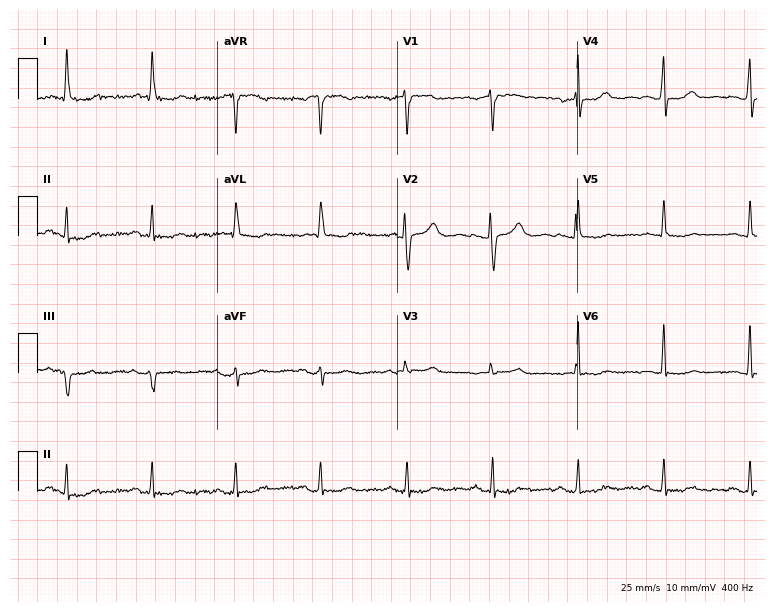
Electrocardiogram, a 63-year-old female patient. Of the six screened findings (first-degree AV block, right bundle branch block, left bundle branch block, sinus bradycardia, atrial fibrillation, sinus tachycardia), none is recorded.